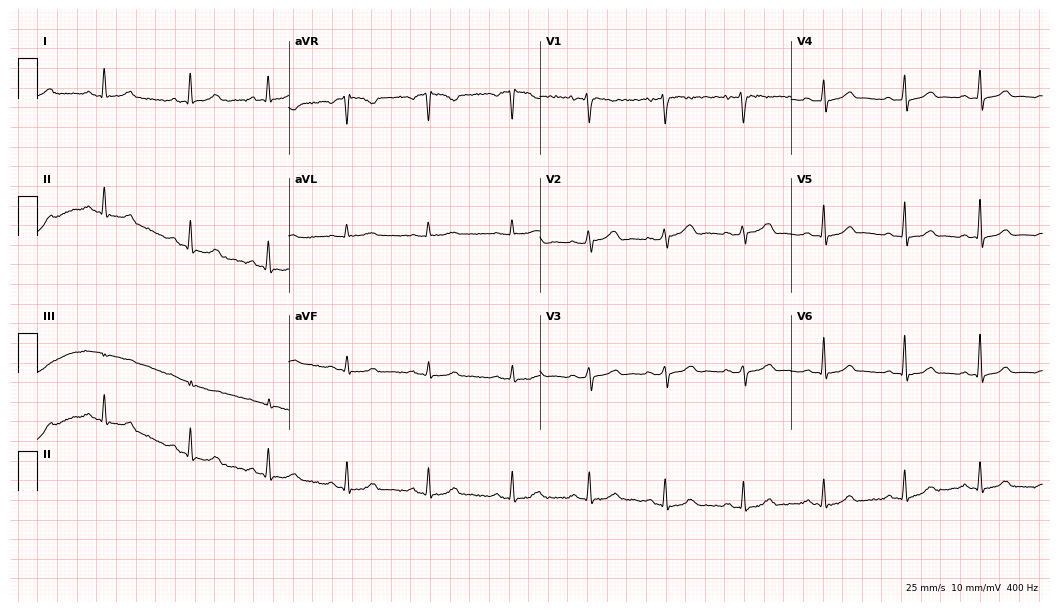
Resting 12-lead electrocardiogram. Patient: a 48-year-old female. Read as a normal ECG.